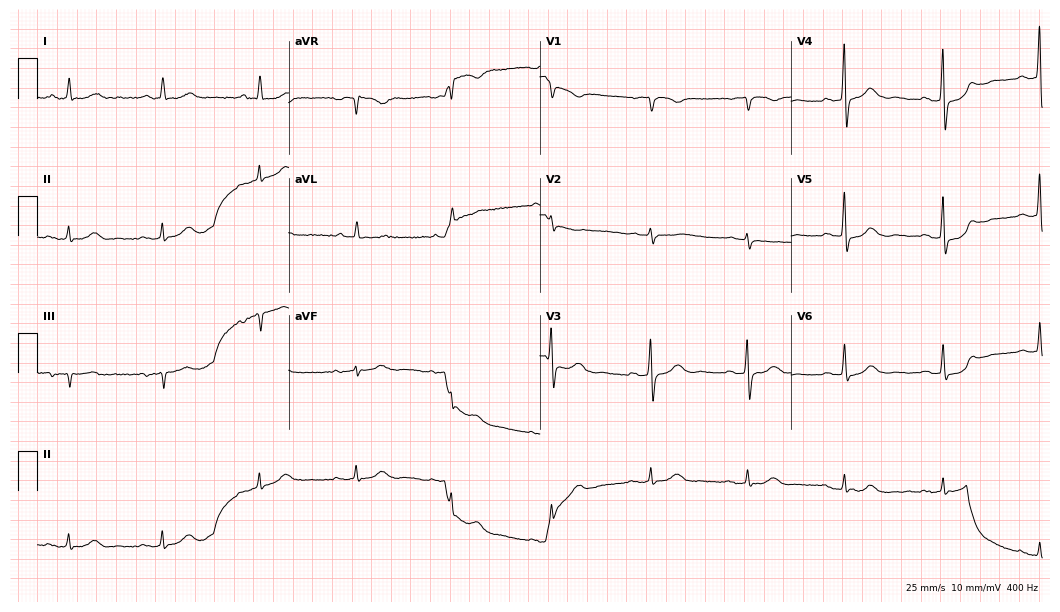
ECG — a 61-year-old male. Labelled as a normal ECG.